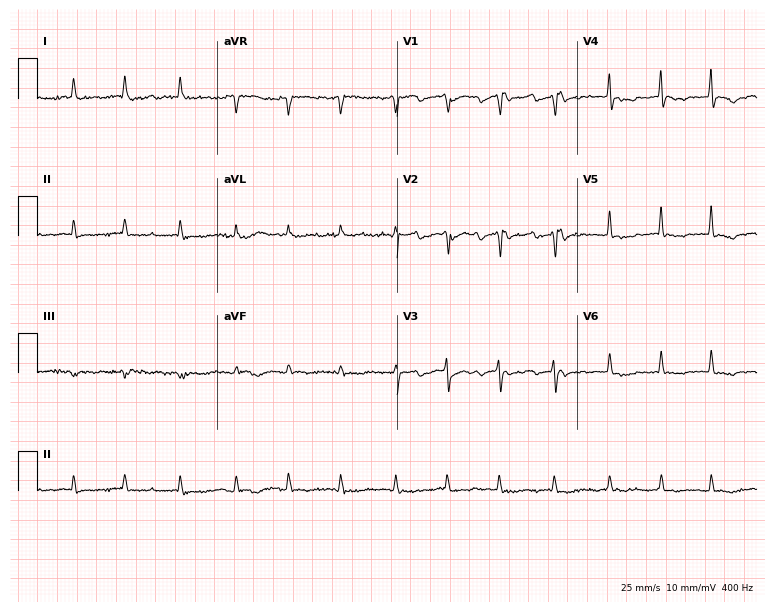
Standard 12-lead ECG recorded from a female, 79 years old. None of these six findings is recorded: first-degree AV block, right bundle branch block, left bundle branch block, sinus bradycardia, atrial fibrillation, sinus tachycardia. Other findings, if any, are not listed.